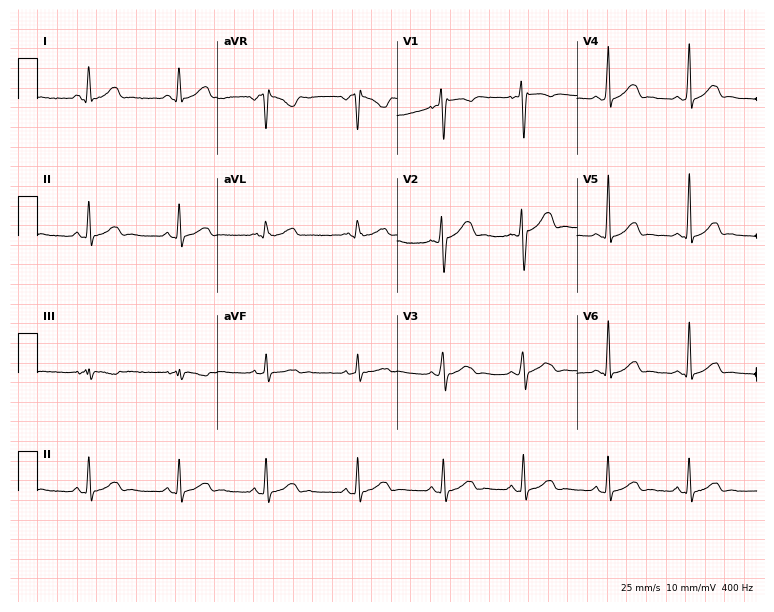
Resting 12-lead electrocardiogram. Patient: an 18-year-old male. None of these six findings is recorded: first-degree AV block, right bundle branch block, left bundle branch block, sinus bradycardia, atrial fibrillation, sinus tachycardia.